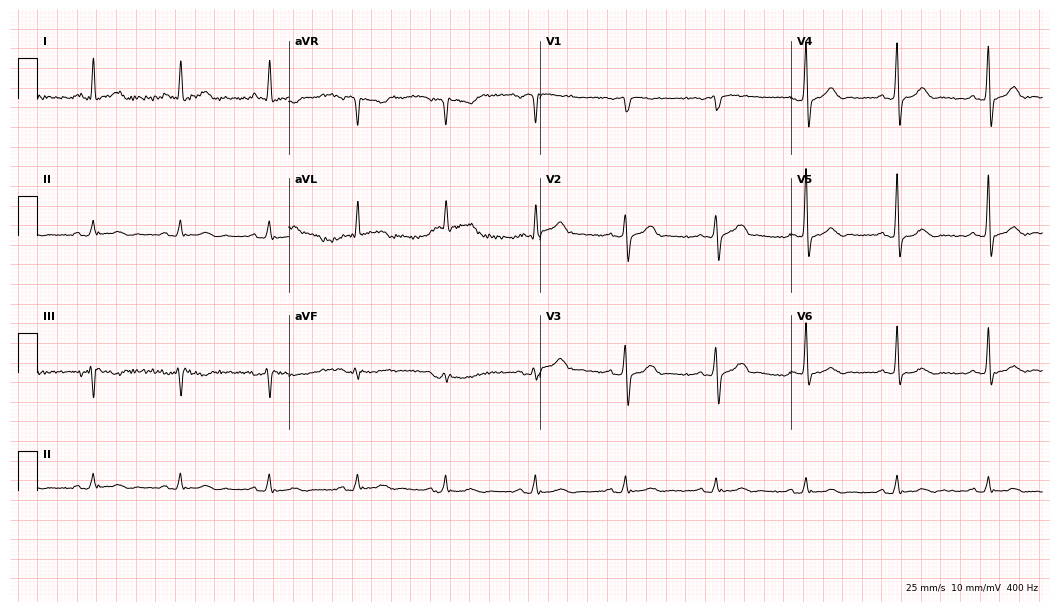
Standard 12-lead ECG recorded from a 73-year-old man (10.2-second recording at 400 Hz). None of these six findings is recorded: first-degree AV block, right bundle branch block (RBBB), left bundle branch block (LBBB), sinus bradycardia, atrial fibrillation (AF), sinus tachycardia. Only these six findings were labelled.